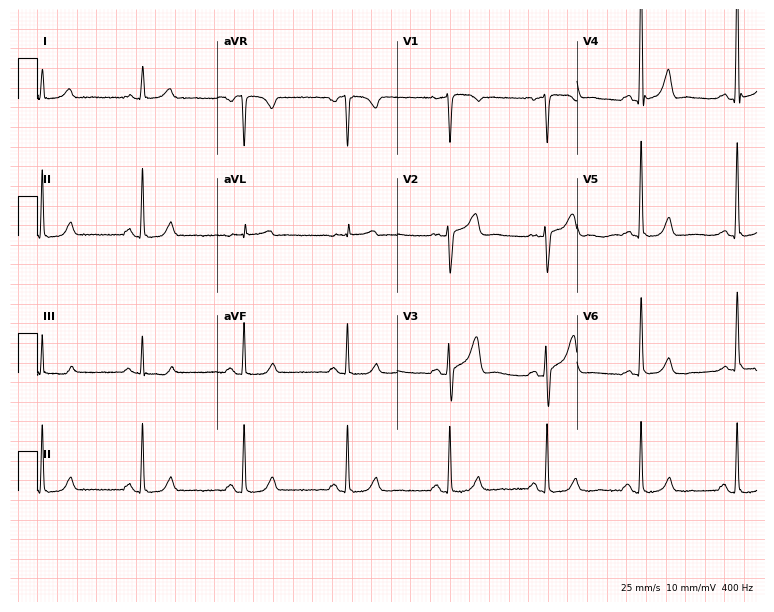
12-lead ECG from a 55-year-old female patient (7.3-second recording at 400 Hz). Recorded interpretation: within normal limits.